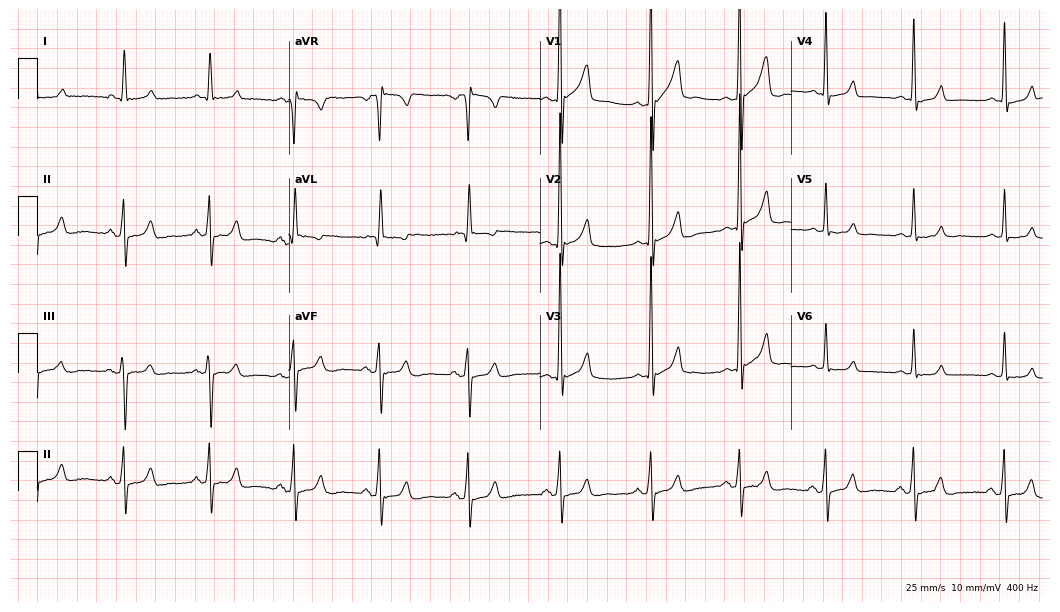
12-lead ECG from a 34-year-old man. Screened for six findings — first-degree AV block, right bundle branch block, left bundle branch block, sinus bradycardia, atrial fibrillation, sinus tachycardia — none is recorded.